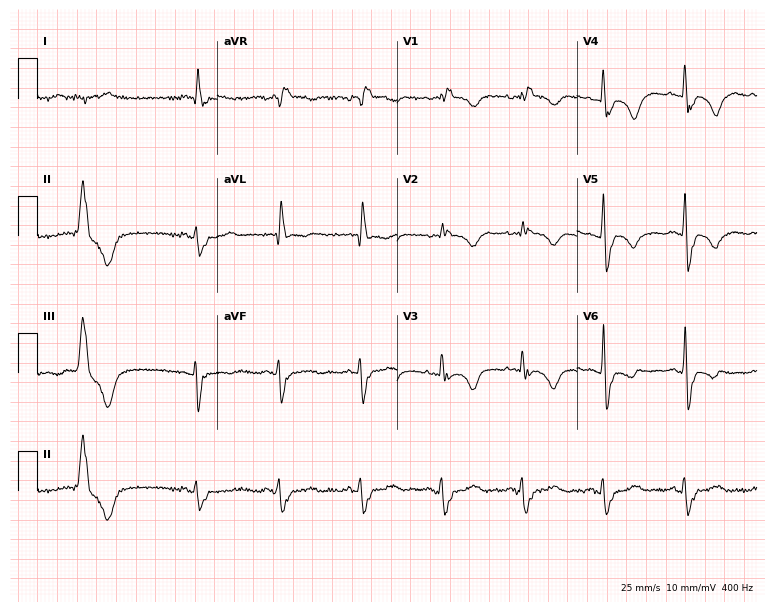
12-lead ECG from a female patient, 58 years old. Findings include right bundle branch block (RBBB).